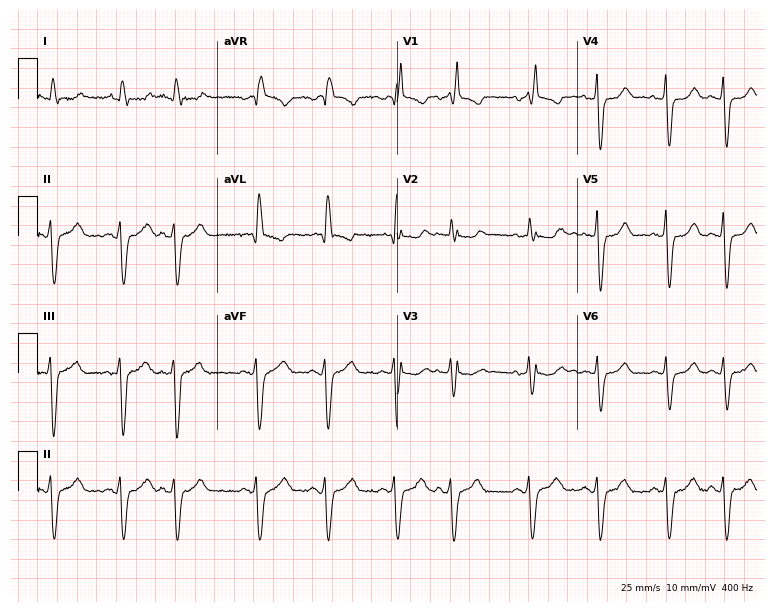
12-lead ECG (7.3-second recording at 400 Hz) from an 81-year-old female. Findings include right bundle branch block (RBBB).